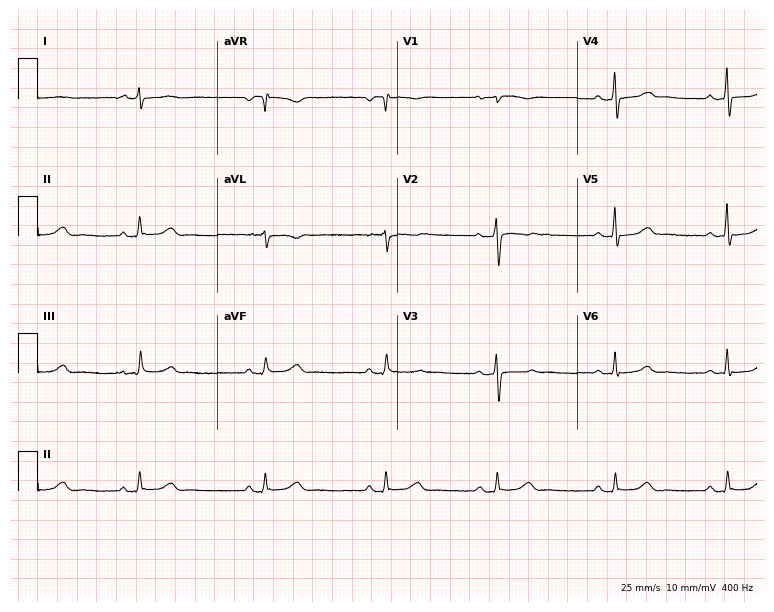
12-lead ECG (7.3-second recording at 400 Hz) from a female patient, 50 years old. Findings include sinus bradycardia (a sinus rate of 50 beats per minute or less).